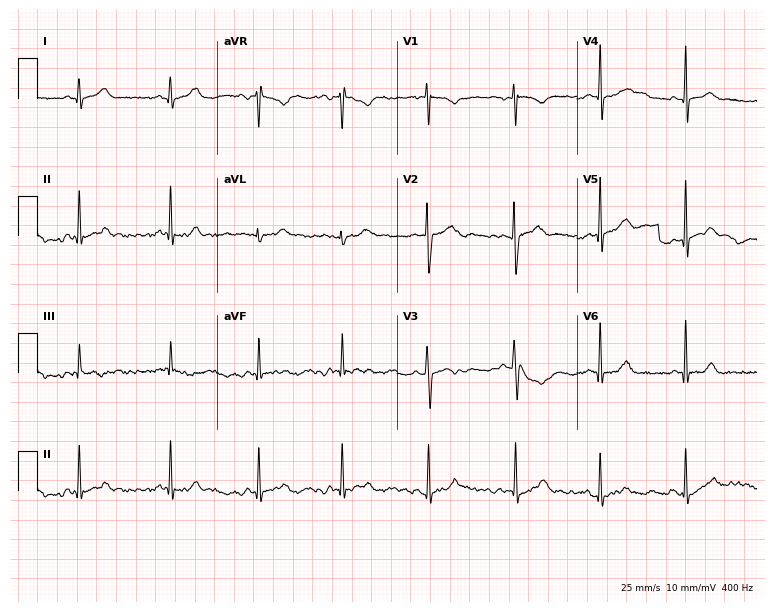
Electrocardiogram, a female patient, 25 years old. Overall reading on record: normal ECG.